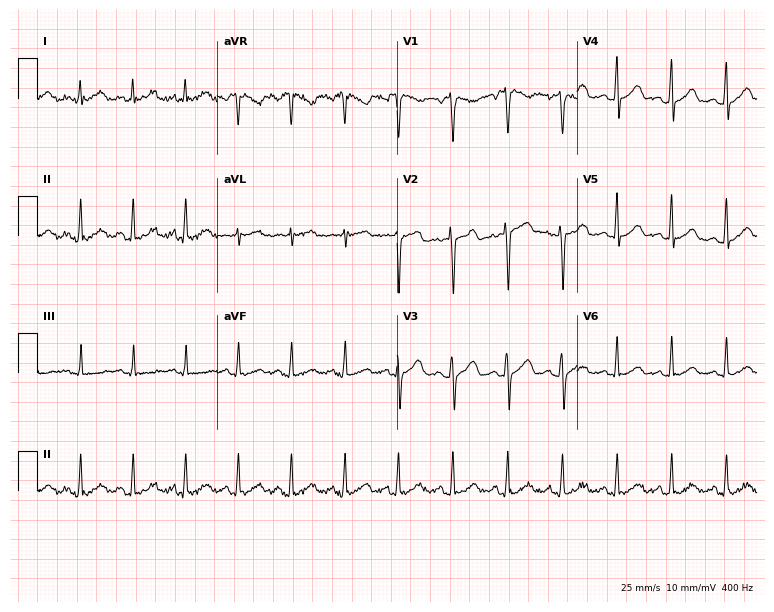
Resting 12-lead electrocardiogram (7.3-second recording at 400 Hz). Patient: a female, 35 years old. None of these six findings is recorded: first-degree AV block, right bundle branch block, left bundle branch block, sinus bradycardia, atrial fibrillation, sinus tachycardia. Other findings, if any, are not listed.